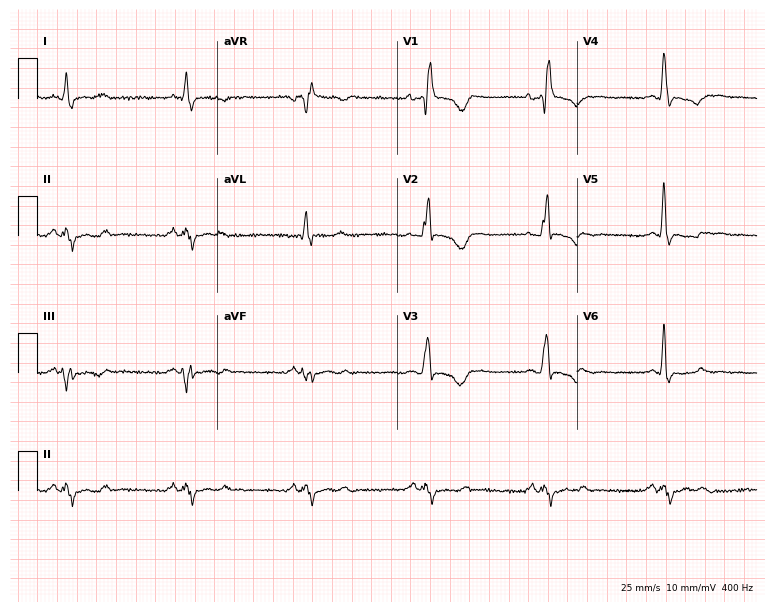
Resting 12-lead electrocardiogram. Patient: a 48-year-old female. The tracing shows right bundle branch block.